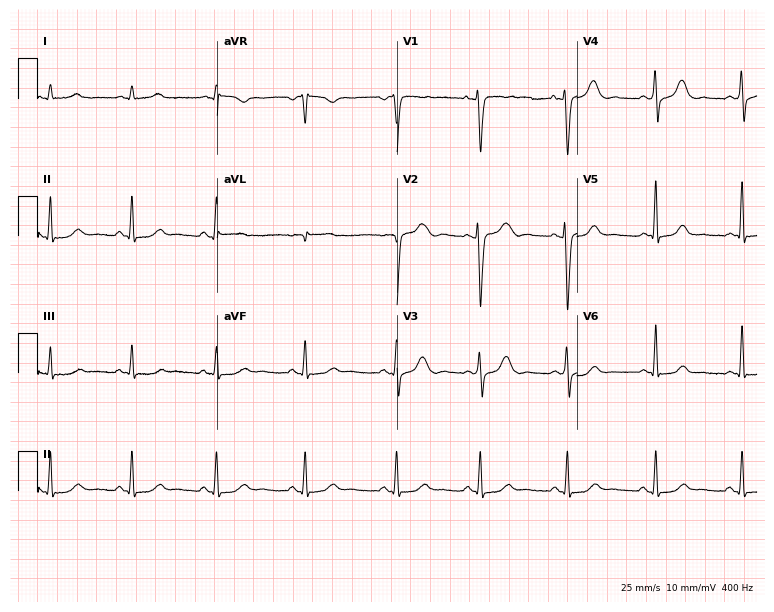
12-lead ECG (7.3-second recording at 400 Hz) from a female, 33 years old. Labelled as a normal ECG.